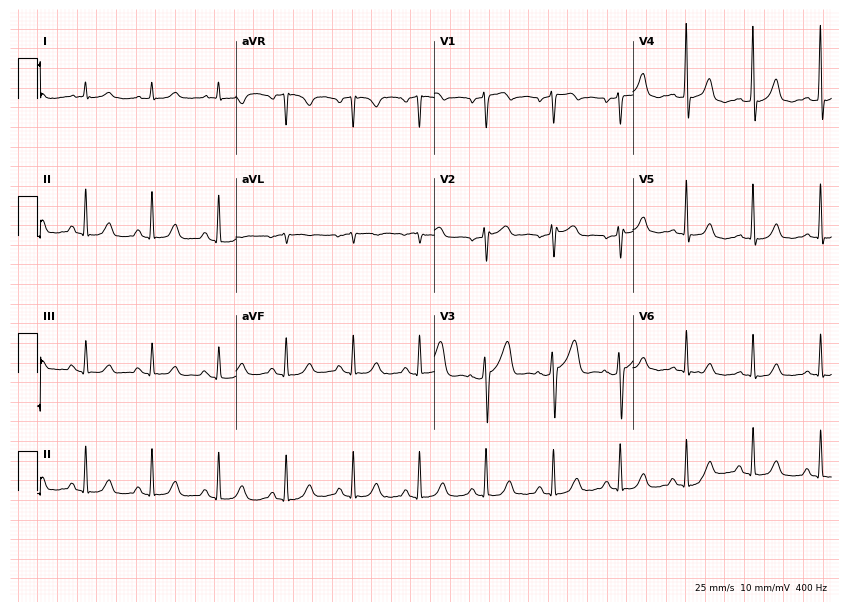
Resting 12-lead electrocardiogram (8.1-second recording at 400 Hz). Patient: a male, 75 years old. Read as a normal ECG.